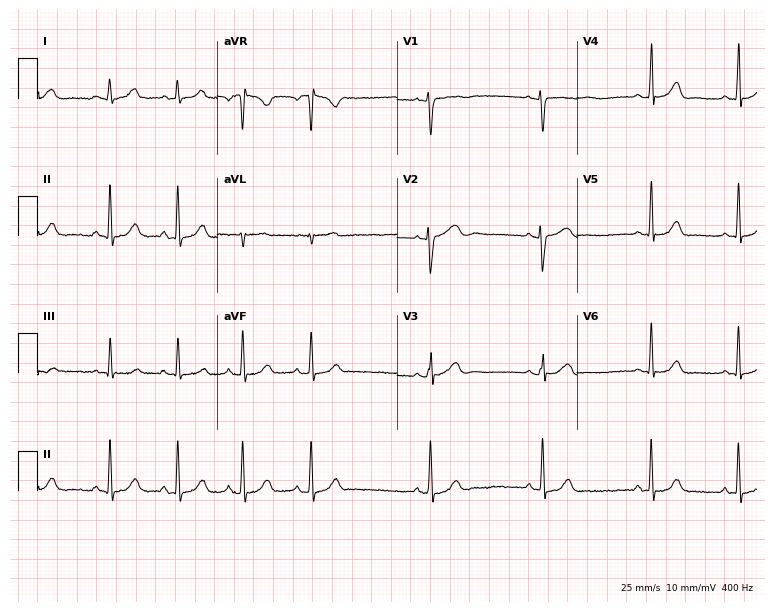
Resting 12-lead electrocardiogram. Patient: a female, 22 years old. Read as a normal ECG.